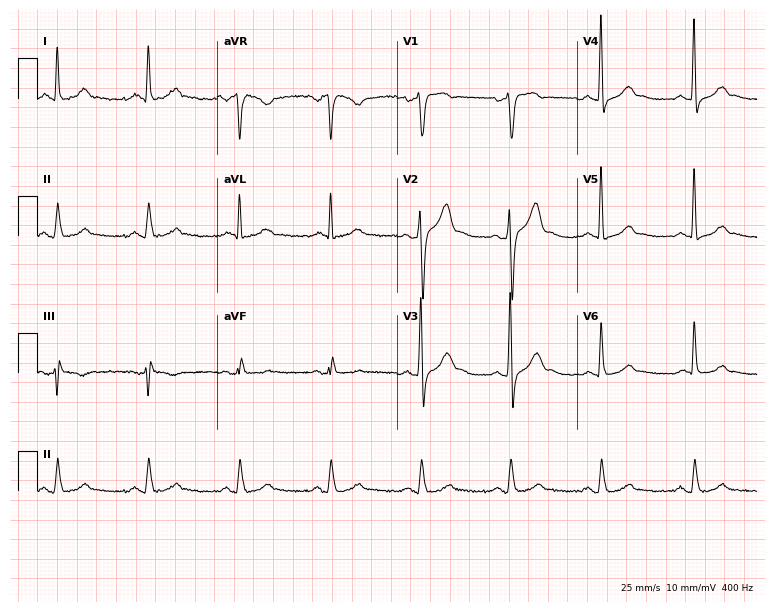
ECG (7.3-second recording at 400 Hz) — a 53-year-old male patient. Labelled as a normal ECG.